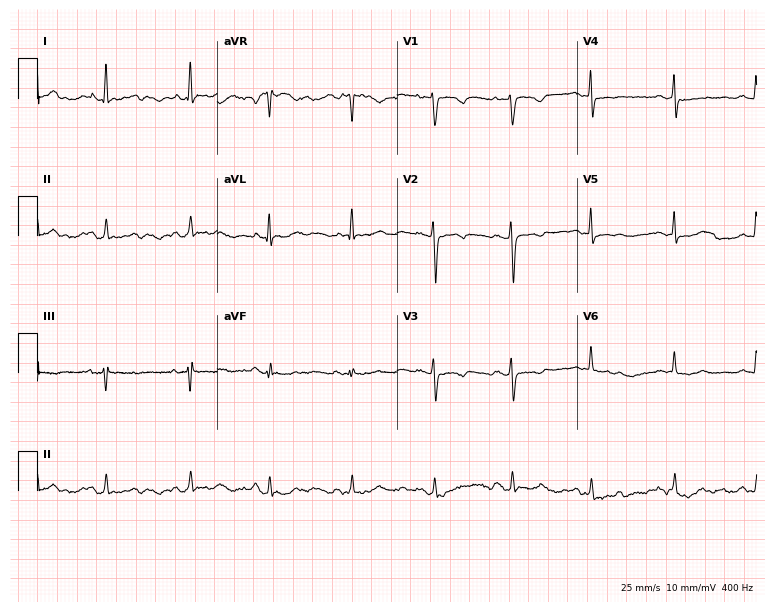
Standard 12-lead ECG recorded from a woman, 45 years old. None of these six findings is recorded: first-degree AV block, right bundle branch block (RBBB), left bundle branch block (LBBB), sinus bradycardia, atrial fibrillation (AF), sinus tachycardia. Other findings, if any, are not listed.